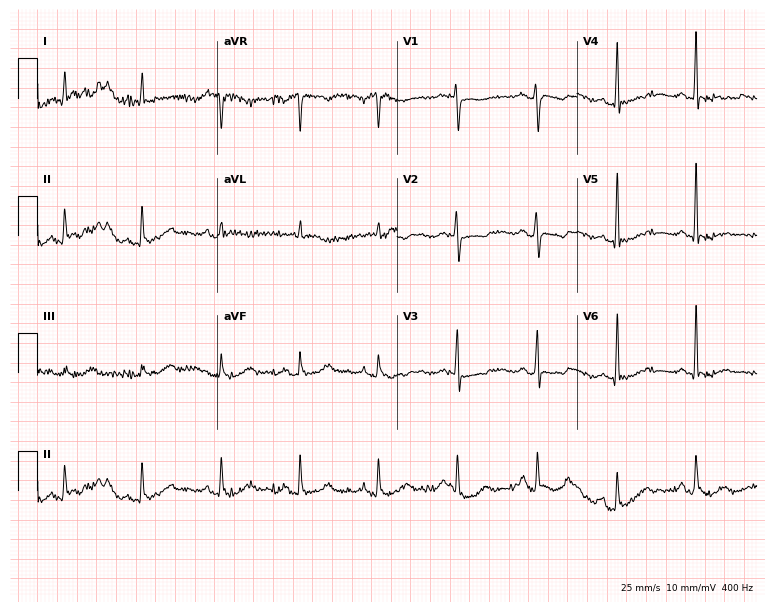
12-lead ECG from a female patient, 65 years old. No first-degree AV block, right bundle branch block, left bundle branch block, sinus bradycardia, atrial fibrillation or sinus tachycardia recorded for this tracing. Findings outside these six are not listed.